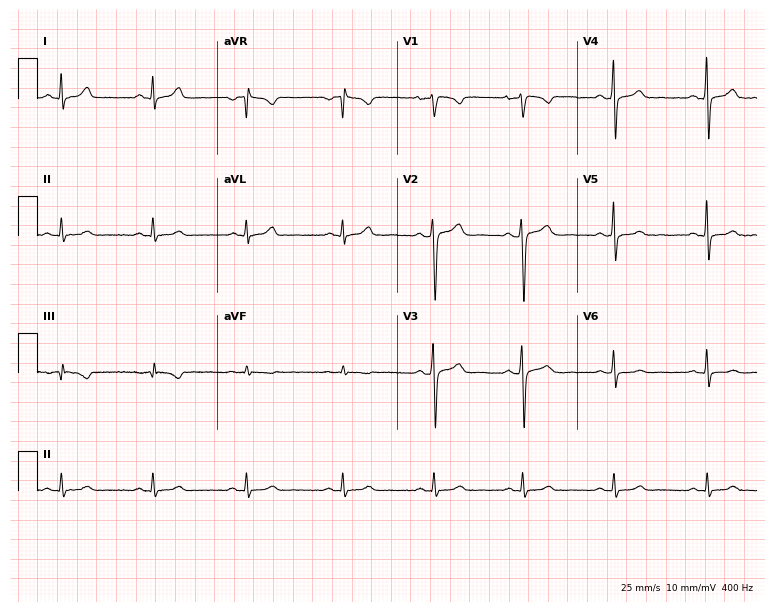
12-lead ECG from a 35-year-old male. Recorded interpretation: within normal limits.